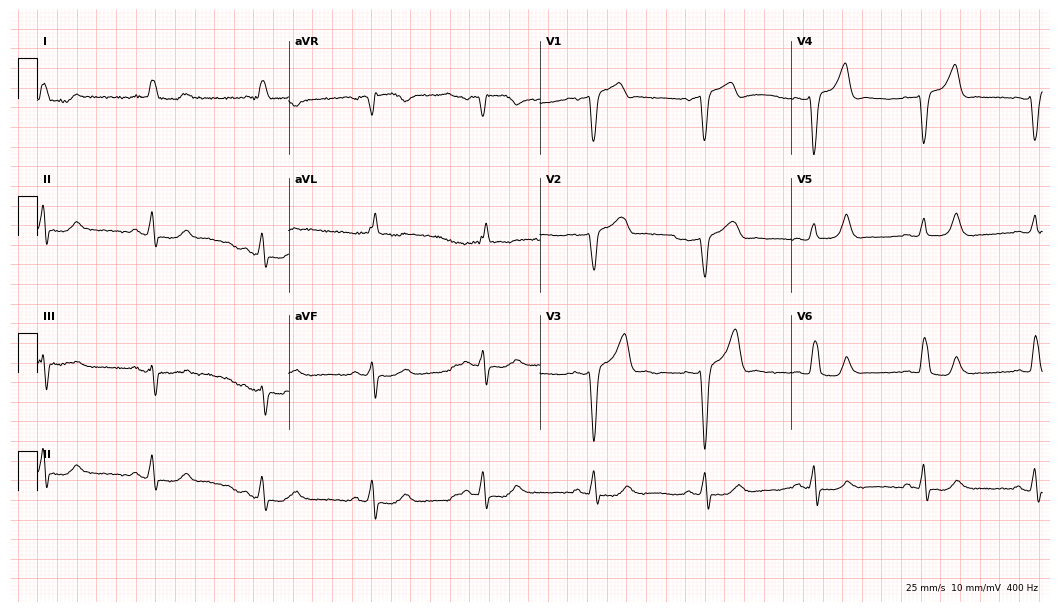
12-lead ECG from a male patient, 79 years old. Shows left bundle branch block (LBBB).